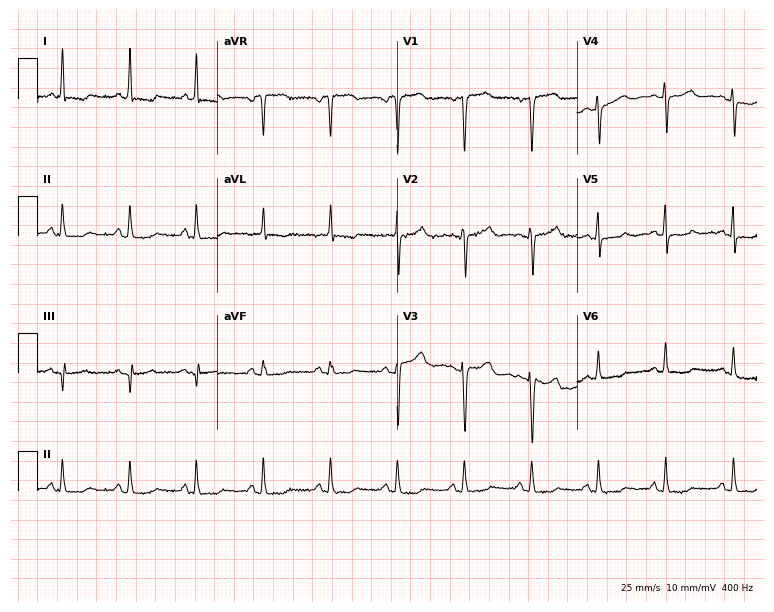
Electrocardiogram (7.3-second recording at 400 Hz), a 61-year-old woman. Of the six screened findings (first-degree AV block, right bundle branch block, left bundle branch block, sinus bradycardia, atrial fibrillation, sinus tachycardia), none is recorded.